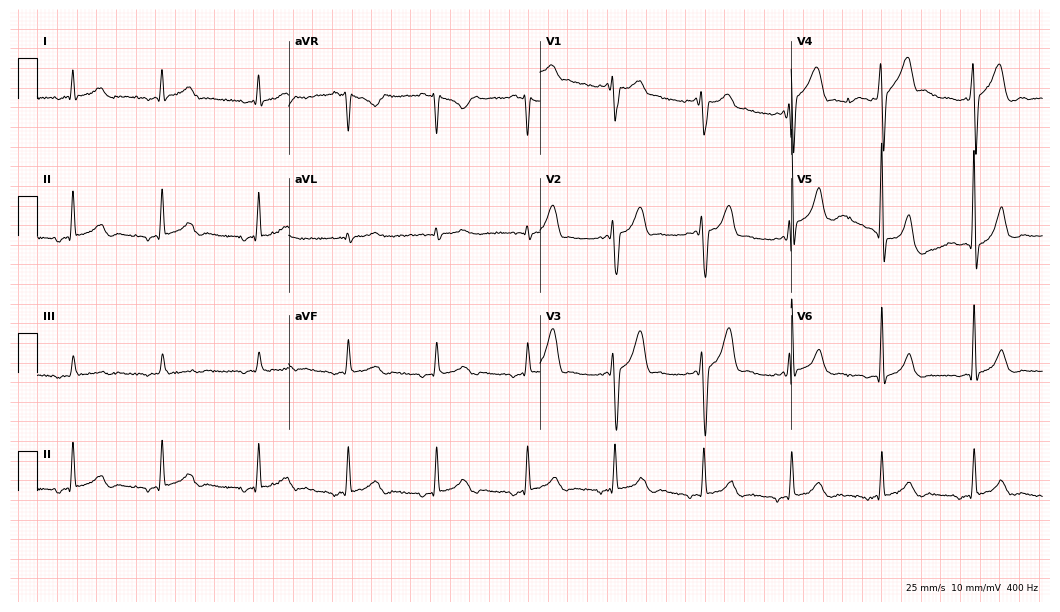
Electrocardiogram, a 39-year-old male. Of the six screened findings (first-degree AV block, right bundle branch block, left bundle branch block, sinus bradycardia, atrial fibrillation, sinus tachycardia), none is recorded. Findings outside these six are not listed.